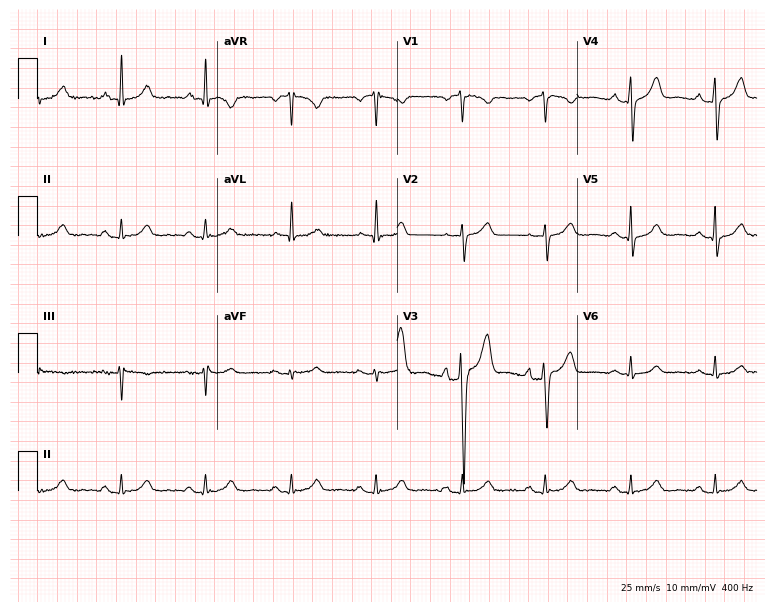
ECG — a 64-year-old man. Labelled as a normal ECG.